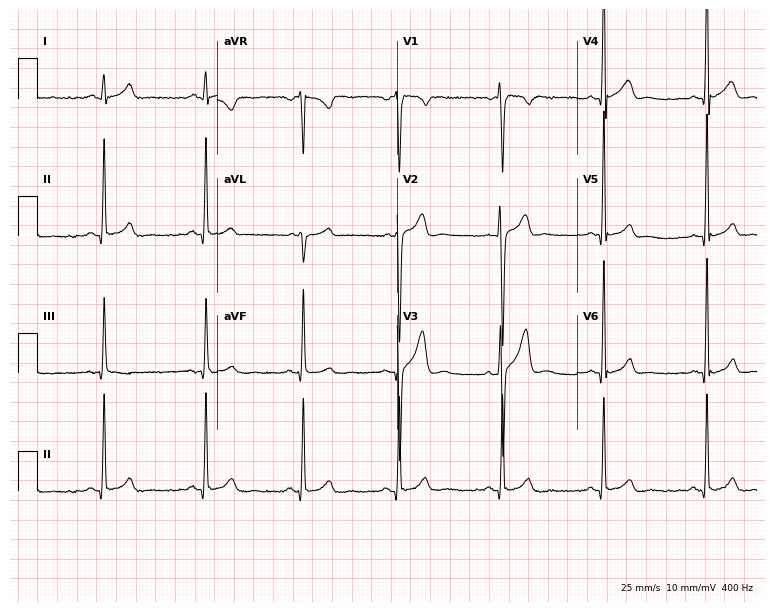
Electrocardiogram (7.3-second recording at 400 Hz), a male patient, 23 years old. Overall reading on record: normal ECG.